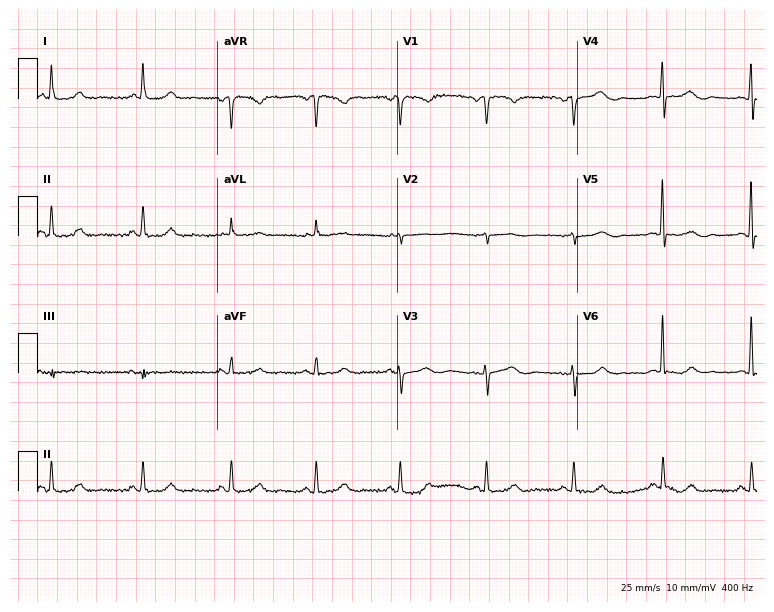
12-lead ECG from a female patient, 57 years old. Labelled as a normal ECG.